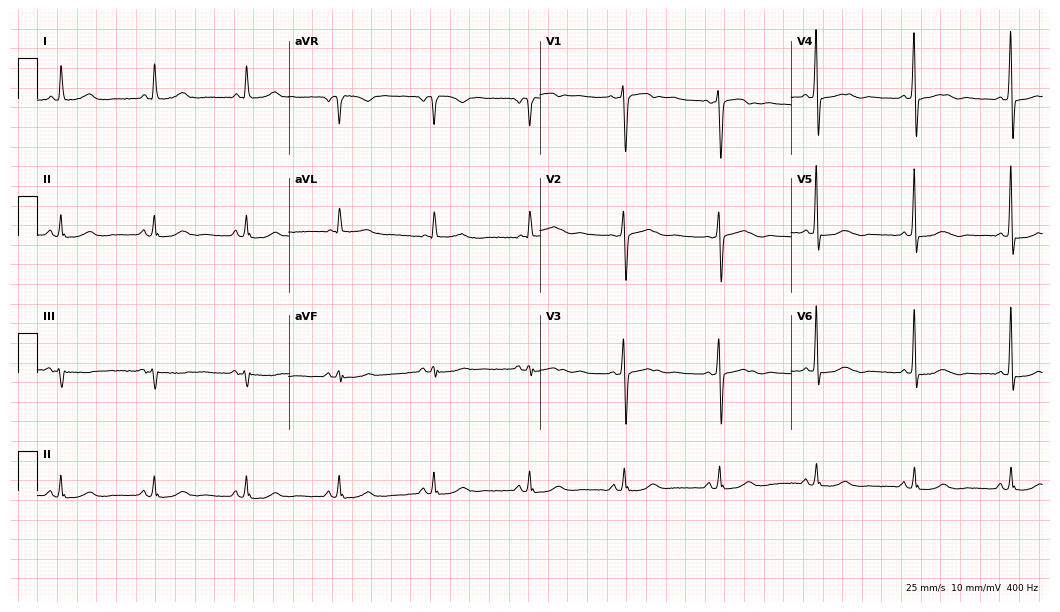
12-lead ECG from a 76-year-old female (10.2-second recording at 400 Hz). No first-degree AV block, right bundle branch block, left bundle branch block, sinus bradycardia, atrial fibrillation or sinus tachycardia recorded for this tracing. Findings outside these six are not listed.